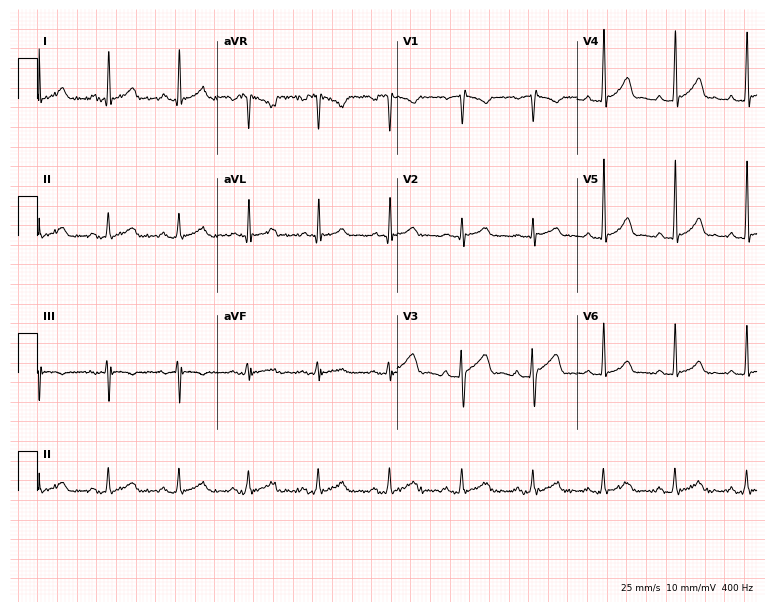
Resting 12-lead electrocardiogram. Patient: a male, 45 years old. Read as a normal ECG.